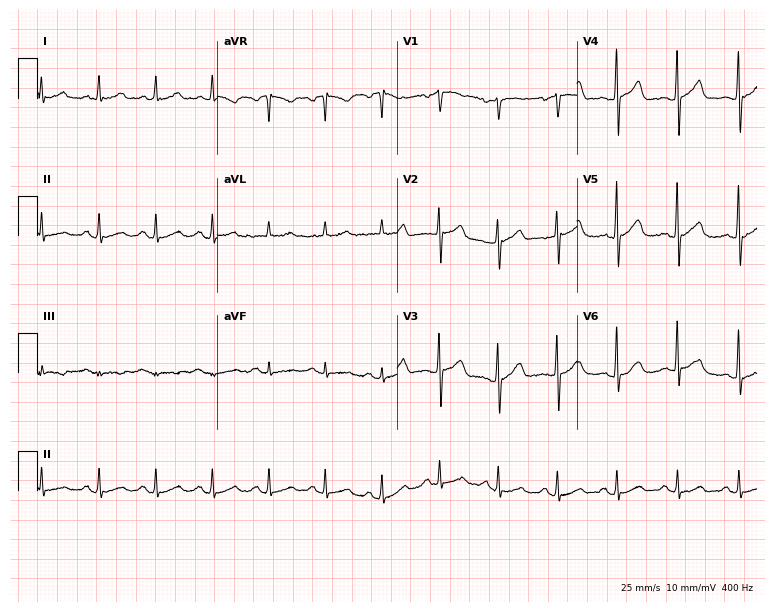
Electrocardiogram, a 69-year-old man. Interpretation includes sinus tachycardia (a sinus rate of 100 beats per minute or more).